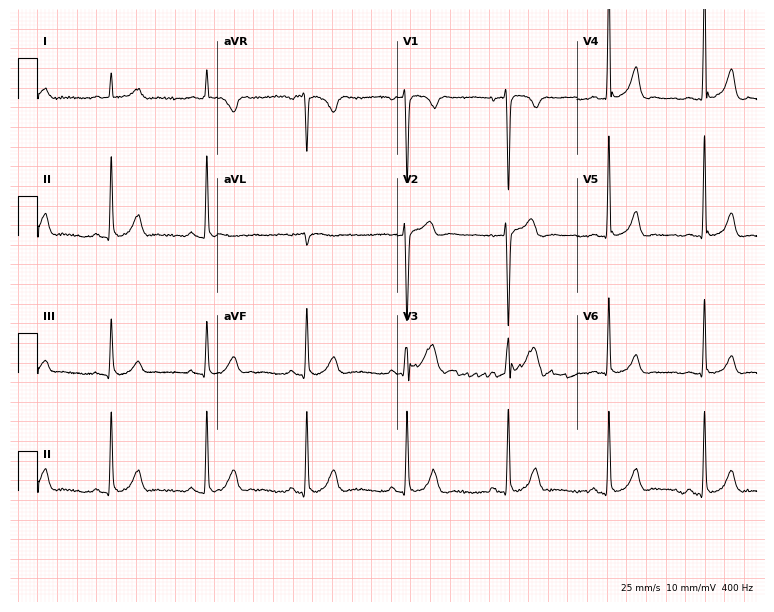
12-lead ECG from a 19-year-old man. Recorded interpretation: within normal limits.